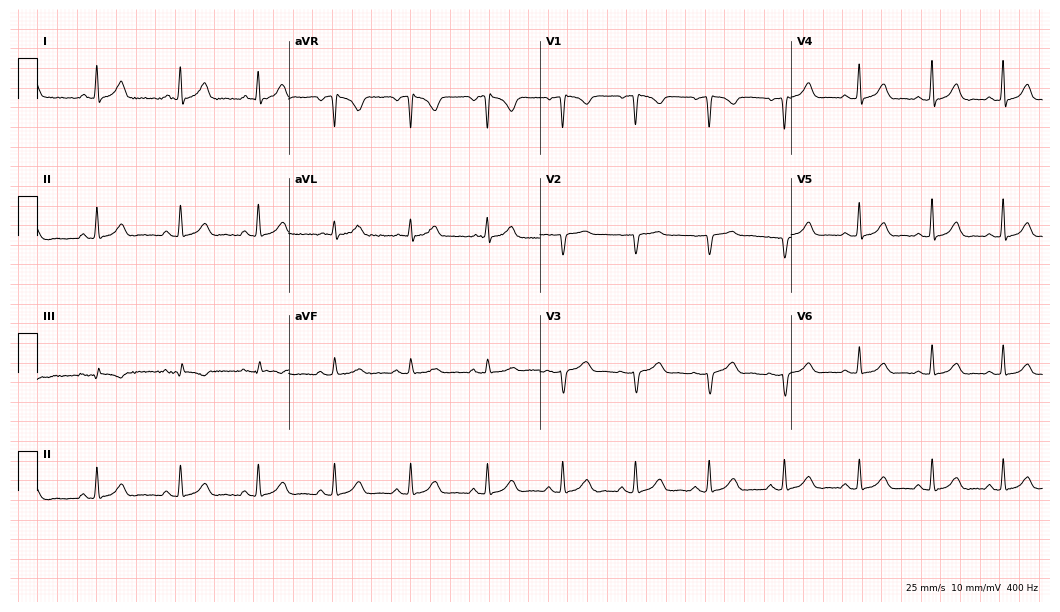
Resting 12-lead electrocardiogram. Patient: a 53-year-old female. None of these six findings is recorded: first-degree AV block, right bundle branch block, left bundle branch block, sinus bradycardia, atrial fibrillation, sinus tachycardia. Only these six findings were labelled.